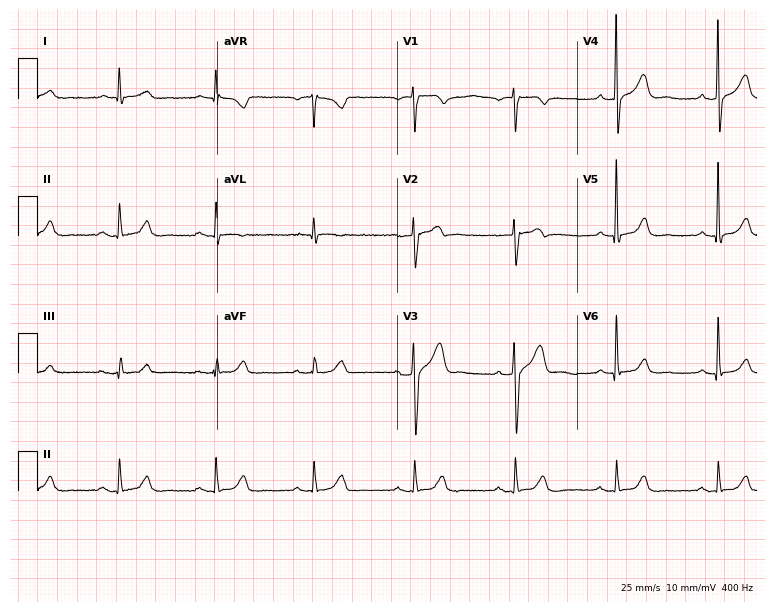
12-lead ECG from a 70-year-old male. Labelled as a normal ECG.